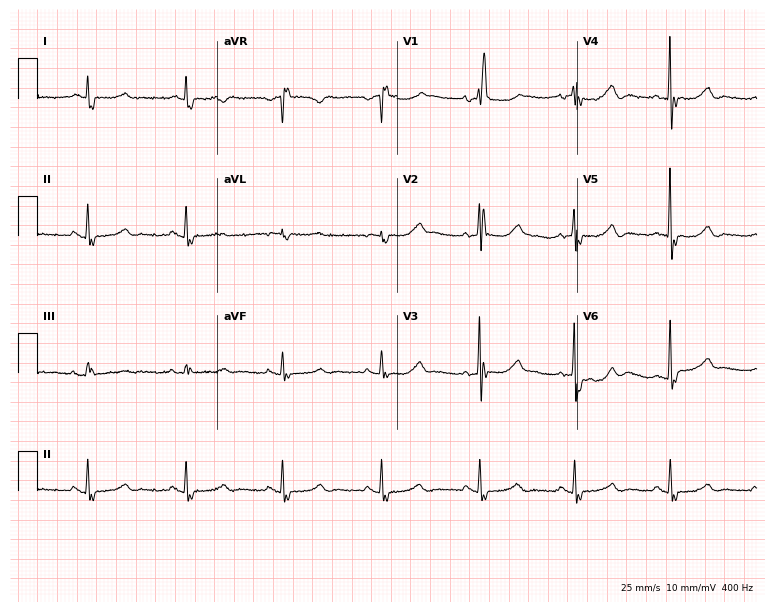
ECG — a 76-year-old female. Findings include right bundle branch block.